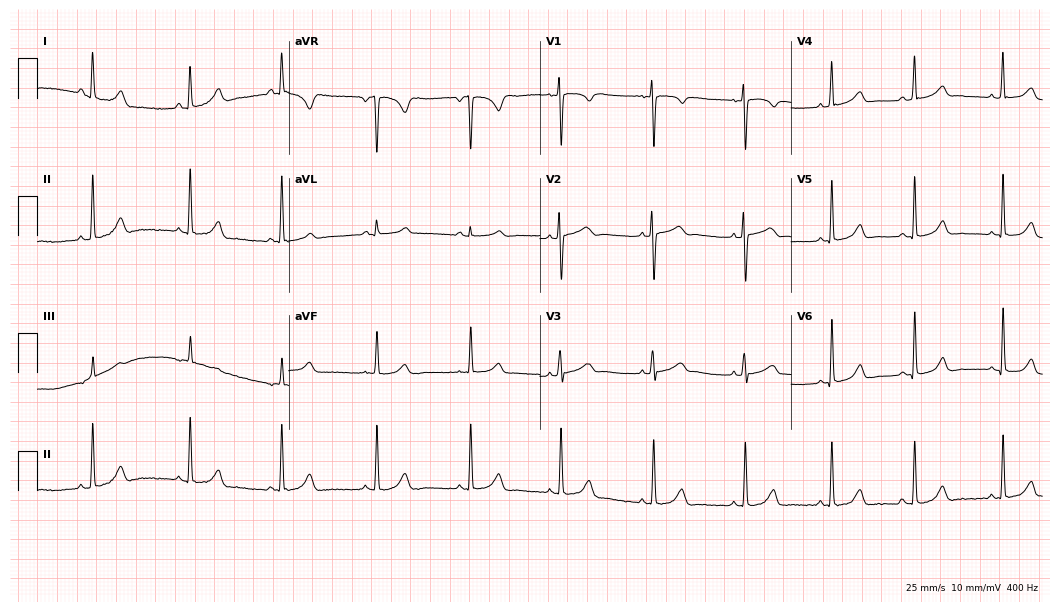
12-lead ECG from a female, 26 years old. Labelled as a normal ECG.